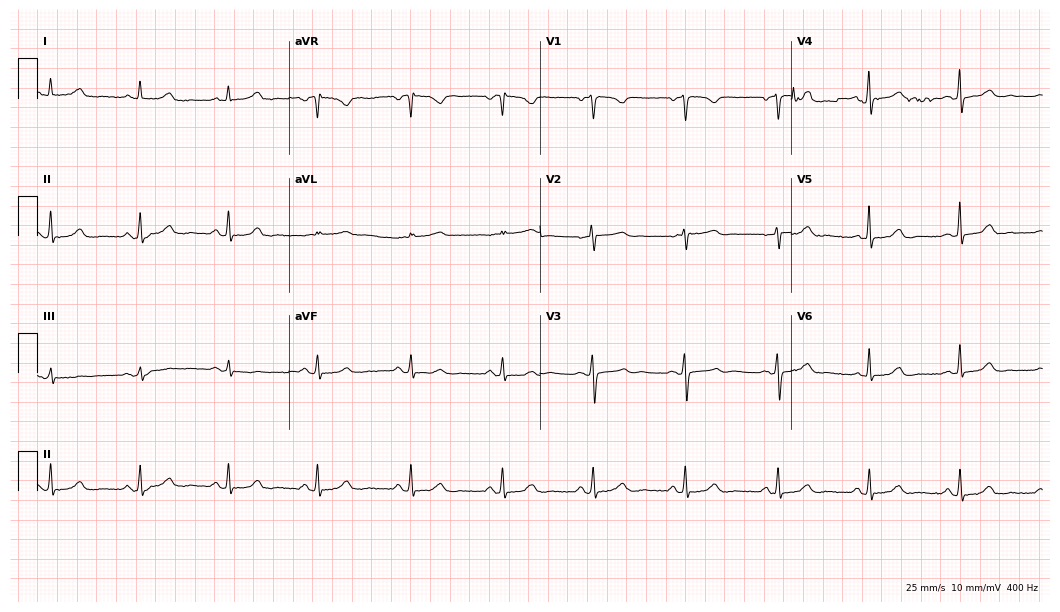
Resting 12-lead electrocardiogram (10.2-second recording at 400 Hz). Patient: a 53-year-old female. Read as a normal ECG.